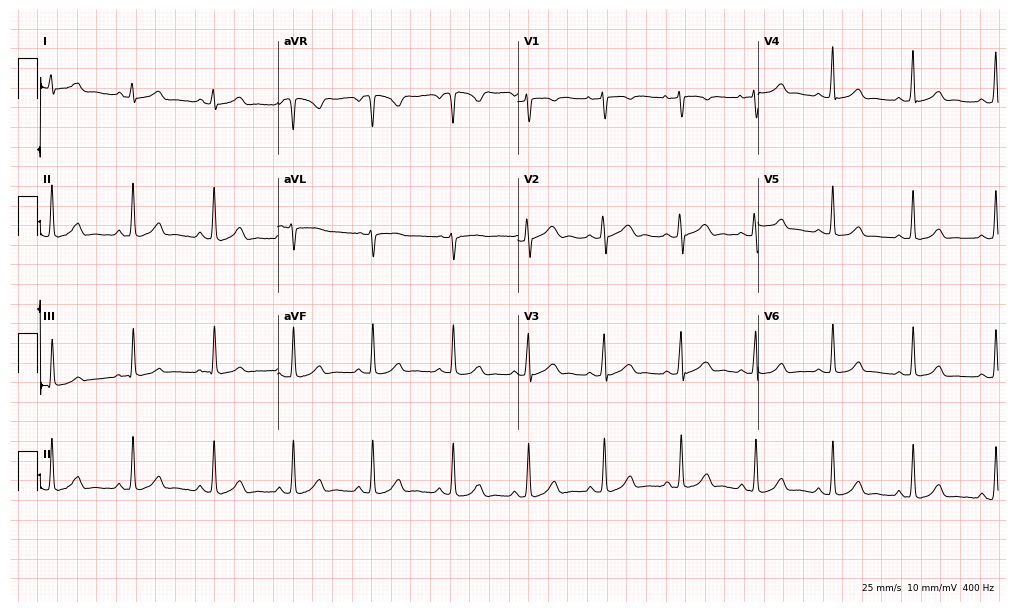
12-lead ECG from a female patient, 23 years old (9.8-second recording at 400 Hz). Recorded interpretation: within normal limits.